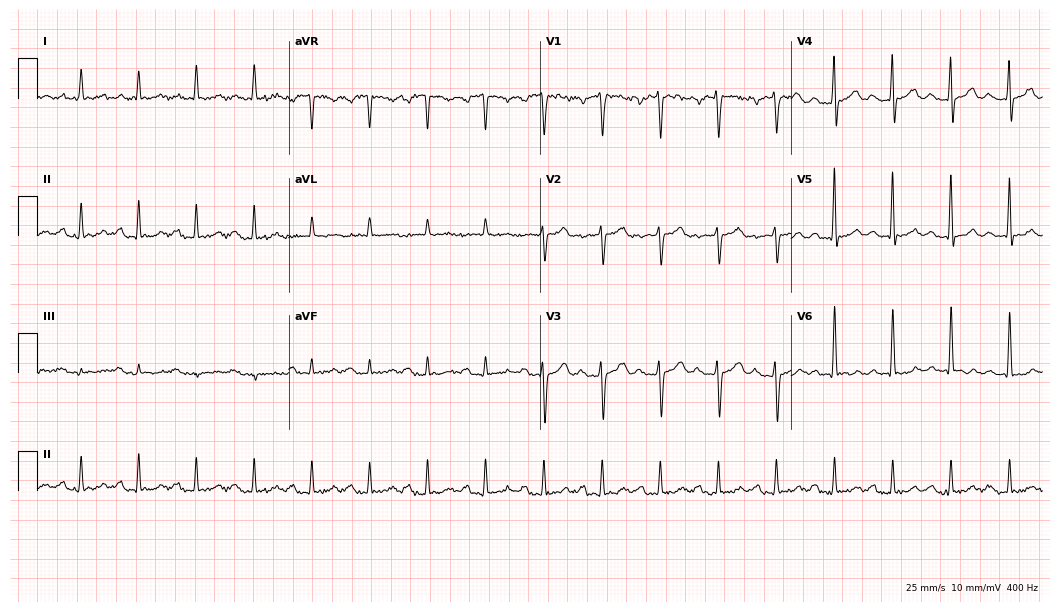
ECG — a male patient, 61 years old. Findings include sinus tachycardia (a sinus rate of 100 beats per minute or more).